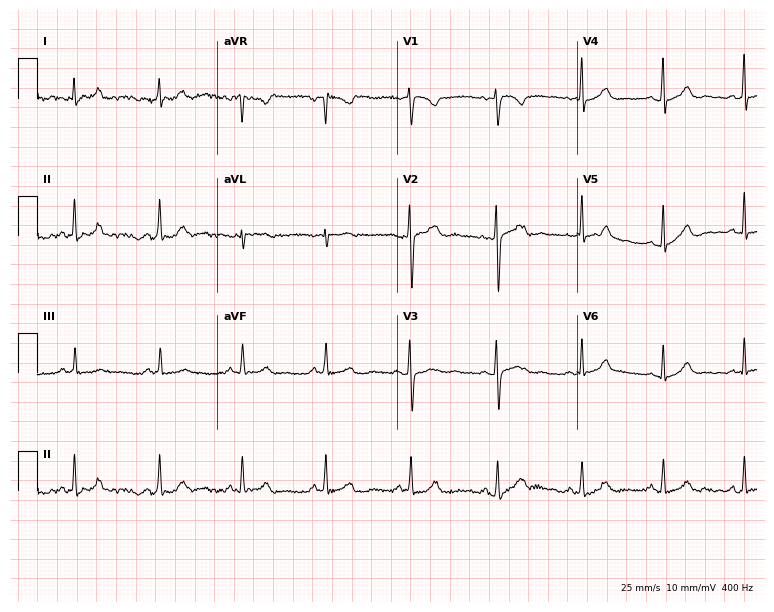
12-lead ECG from a 27-year-old woman (7.3-second recording at 400 Hz). Recorded interpretation: within normal limits.